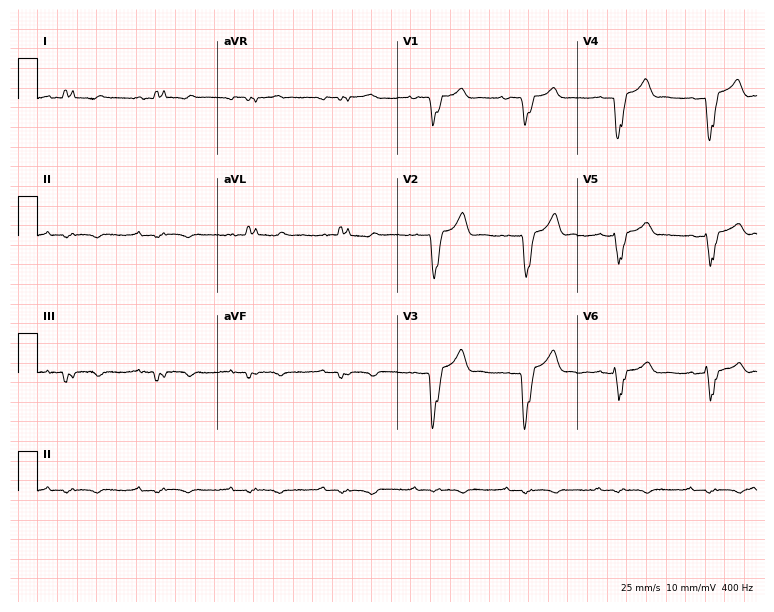
Electrocardiogram (7.3-second recording at 400 Hz), an 81-year-old man. Interpretation includes first-degree AV block, left bundle branch block (LBBB).